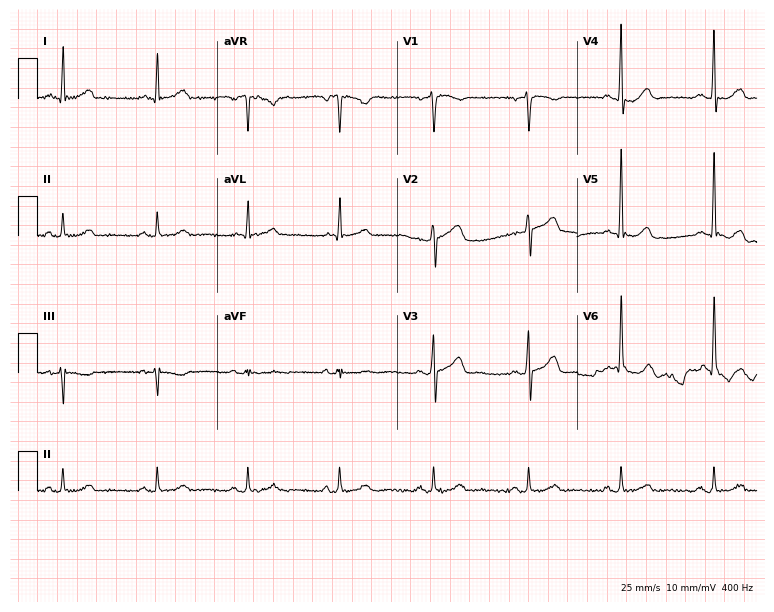
Standard 12-lead ECG recorded from a male, 46 years old (7.3-second recording at 400 Hz). None of these six findings is recorded: first-degree AV block, right bundle branch block, left bundle branch block, sinus bradycardia, atrial fibrillation, sinus tachycardia.